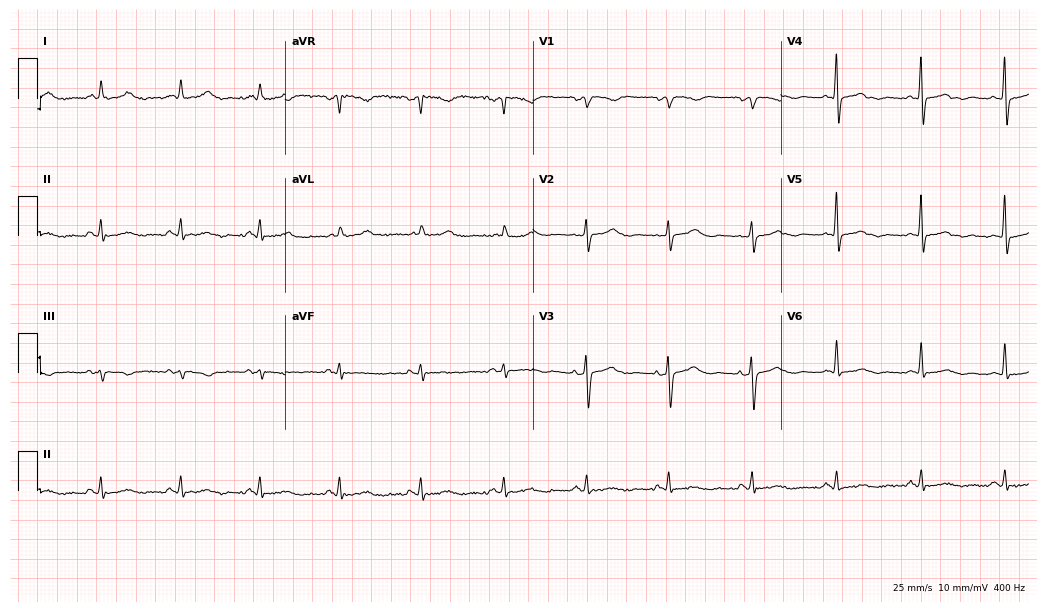
ECG — a 68-year-old female. Labelled as a normal ECG.